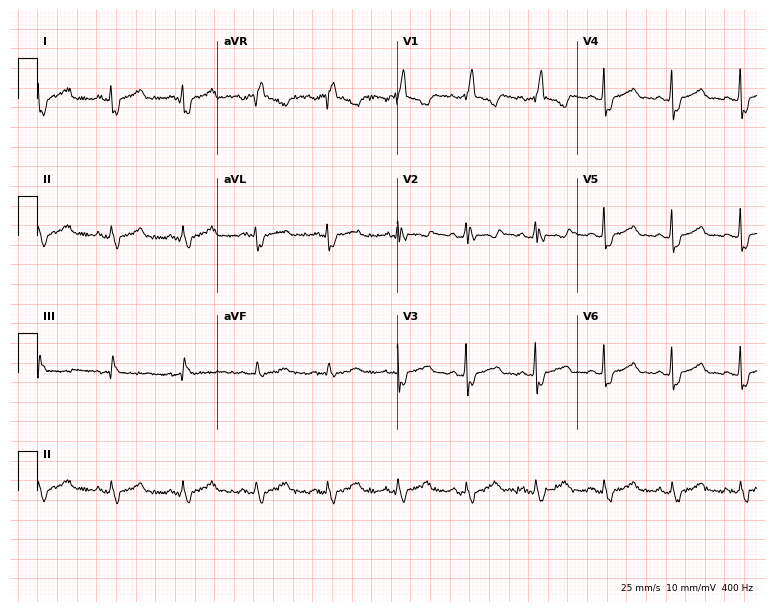
Electrocardiogram (7.3-second recording at 400 Hz), a 39-year-old female patient. Interpretation includes right bundle branch block.